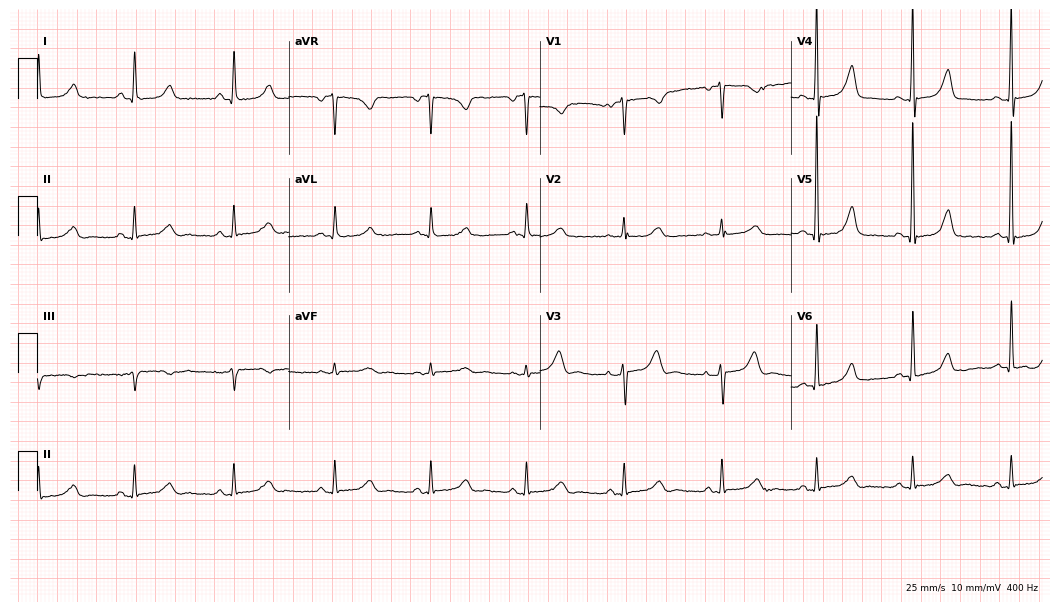
Electrocardiogram, a woman, 38 years old. Of the six screened findings (first-degree AV block, right bundle branch block, left bundle branch block, sinus bradycardia, atrial fibrillation, sinus tachycardia), none is recorded.